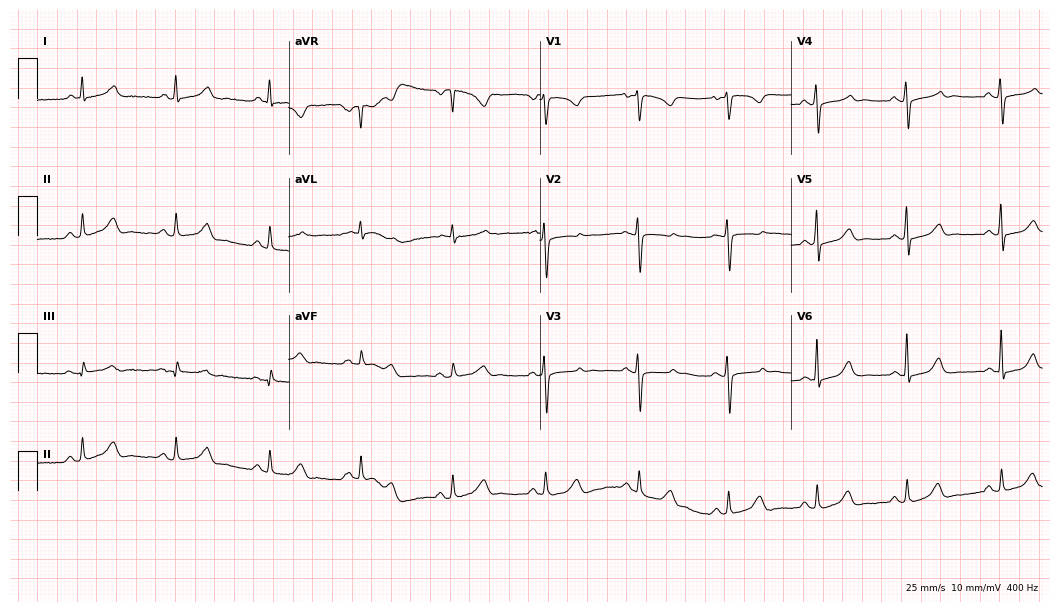
Standard 12-lead ECG recorded from a female patient, 40 years old (10.2-second recording at 400 Hz). None of these six findings is recorded: first-degree AV block, right bundle branch block (RBBB), left bundle branch block (LBBB), sinus bradycardia, atrial fibrillation (AF), sinus tachycardia. Only these six findings were labelled.